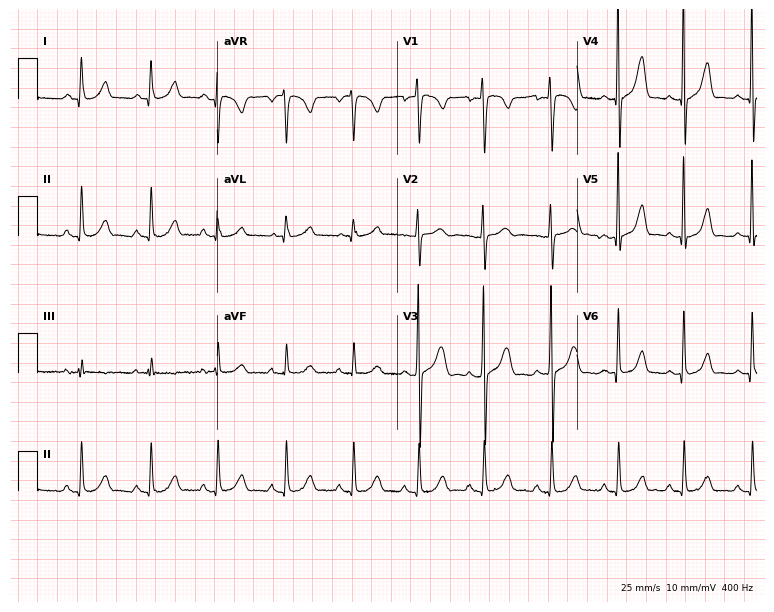
Standard 12-lead ECG recorded from an 18-year-old male. Read as a normal ECG.